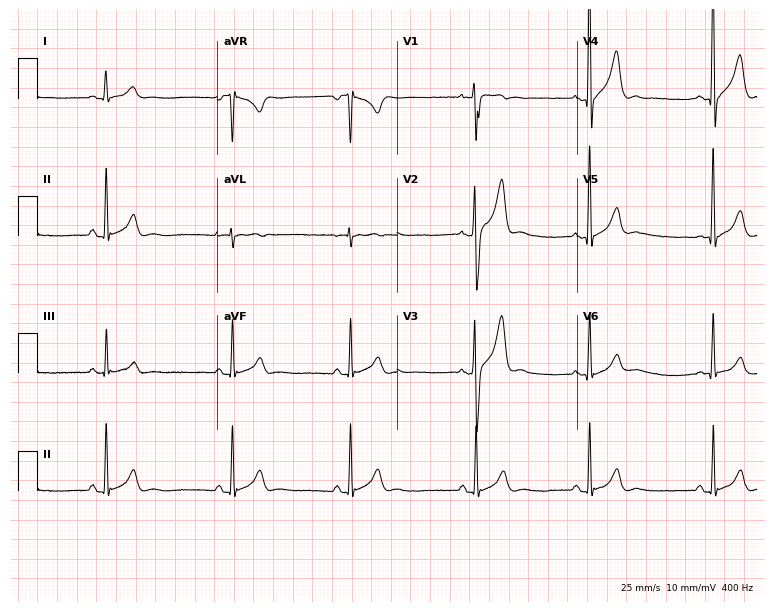
Standard 12-lead ECG recorded from a 37-year-old male (7.3-second recording at 400 Hz). None of these six findings is recorded: first-degree AV block, right bundle branch block, left bundle branch block, sinus bradycardia, atrial fibrillation, sinus tachycardia.